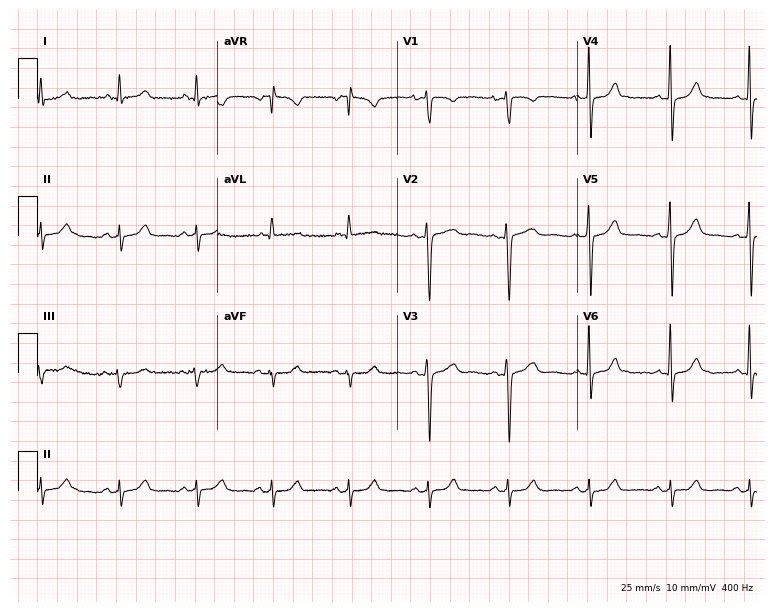
Resting 12-lead electrocardiogram. Patient: a 47-year-old woman. None of these six findings is recorded: first-degree AV block, right bundle branch block, left bundle branch block, sinus bradycardia, atrial fibrillation, sinus tachycardia.